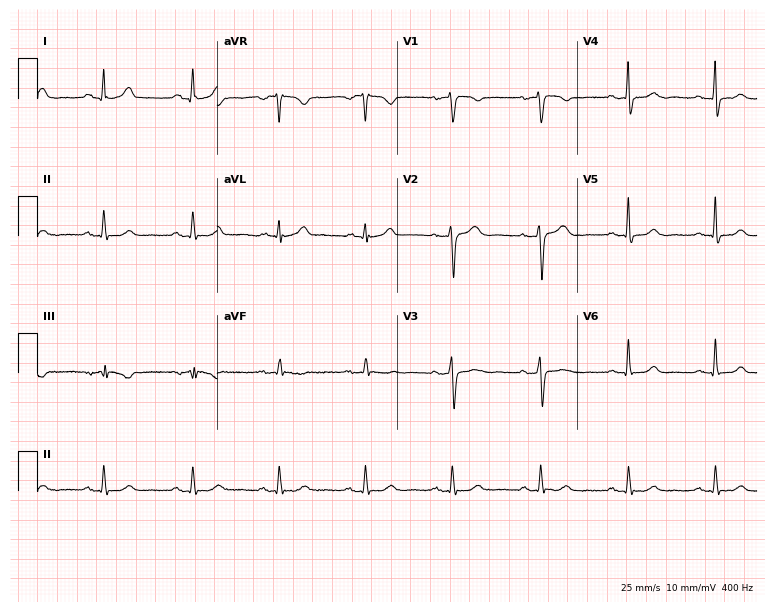
Standard 12-lead ECG recorded from a woman, 50 years old. Read as a normal ECG.